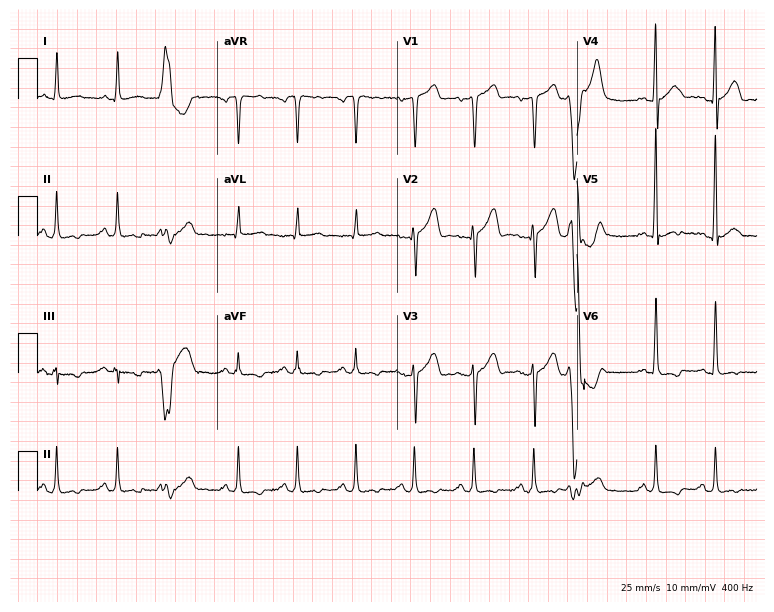
Standard 12-lead ECG recorded from a man, 49 years old. Read as a normal ECG.